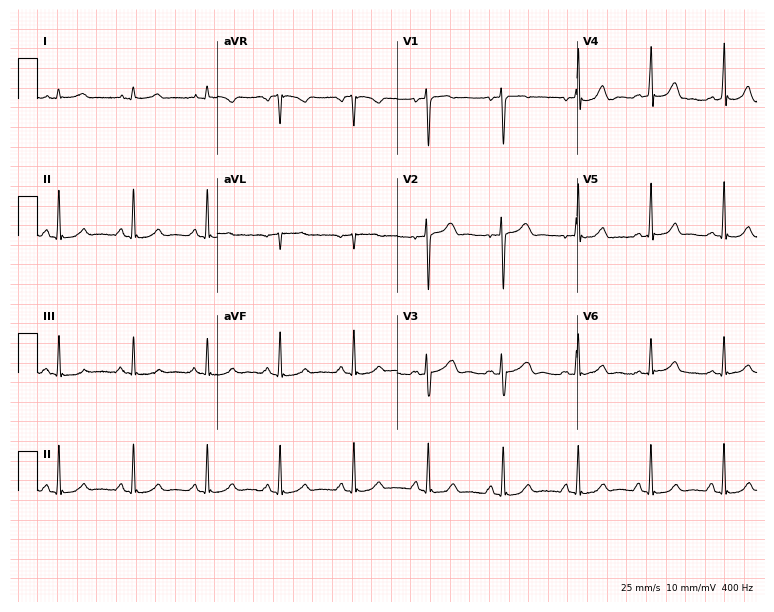
12-lead ECG from a 42-year-old female patient (7.3-second recording at 400 Hz). No first-degree AV block, right bundle branch block, left bundle branch block, sinus bradycardia, atrial fibrillation or sinus tachycardia recorded for this tracing.